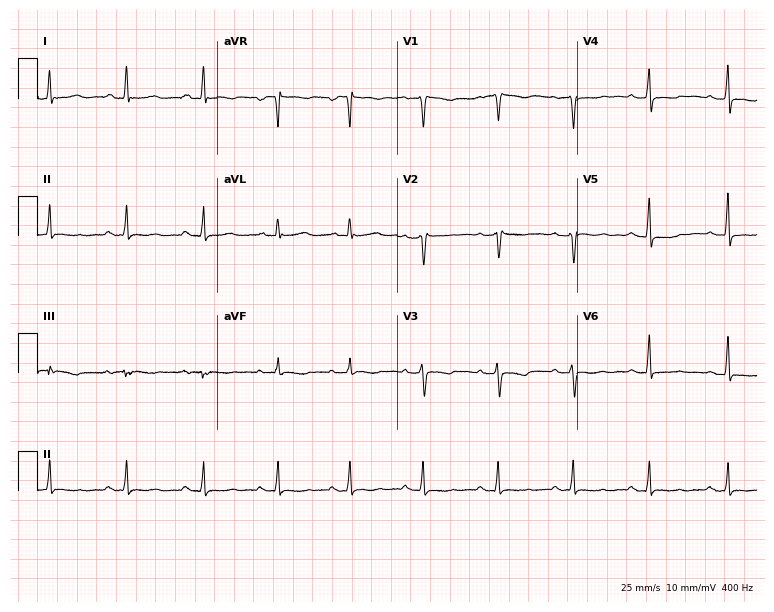
Electrocardiogram, a female, 50 years old. Of the six screened findings (first-degree AV block, right bundle branch block, left bundle branch block, sinus bradycardia, atrial fibrillation, sinus tachycardia), none is recorded. Findings outside these six are not listed.